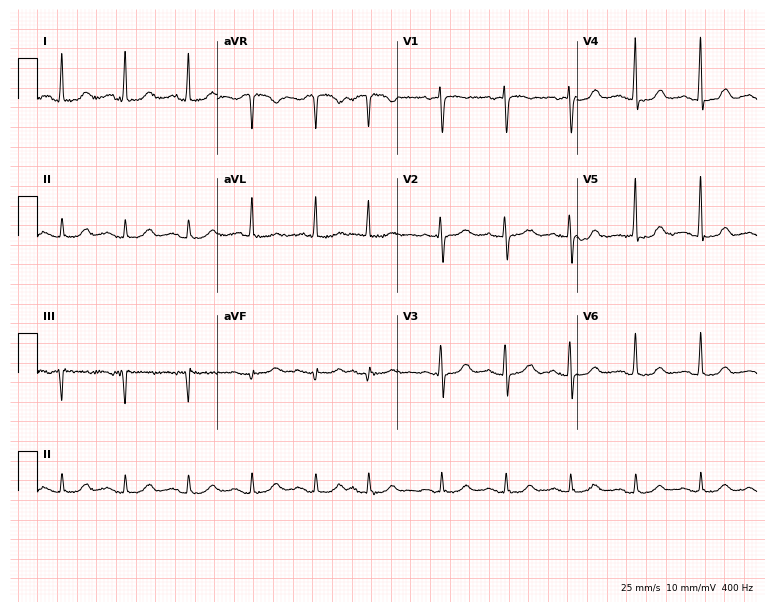
Resting 12-lead electrocardiogram. Patient: an 89-year-old female. None of these six findings is recorded: first-degree AV block, right bundle branch block (RBBB), left bundle branch block (LBBB), sinus bradycardia, atrial fibrillation (AF), sinus tachycardia. Other findings, if any, are not listed.